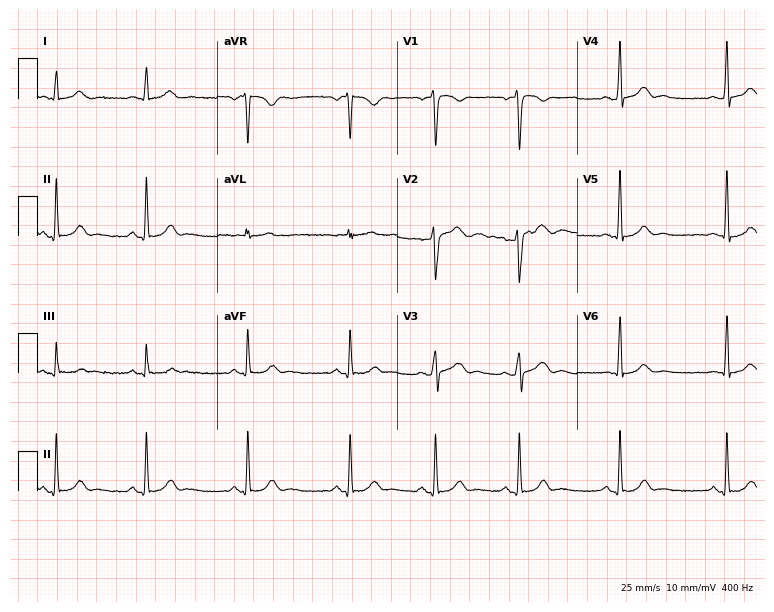
Electrocardiogram, a 25-year-old female. Overall reading on record: normal ECG.